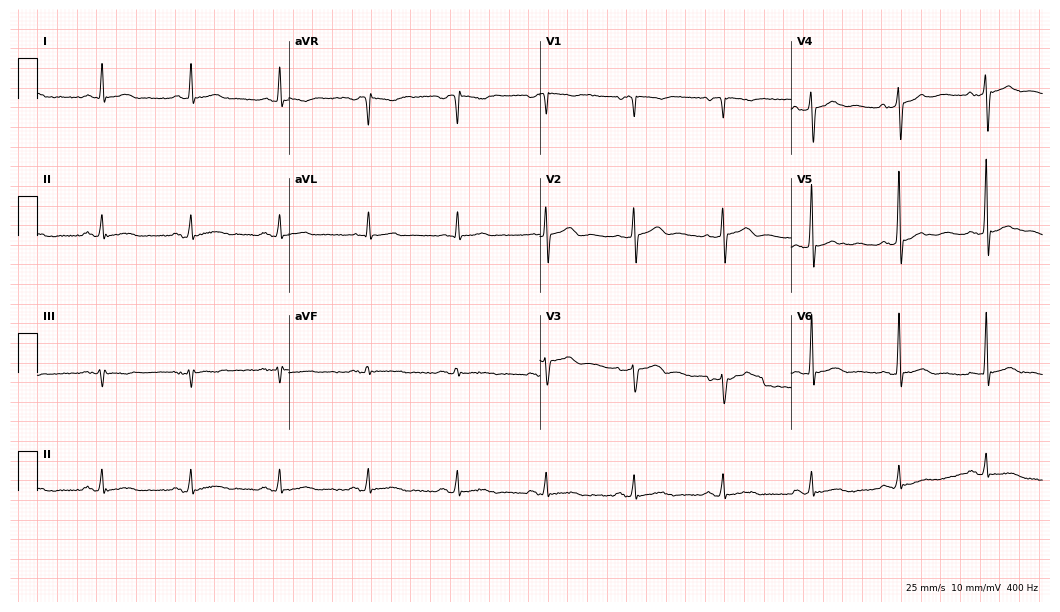
12-lead ECG from a 59-year-old male. Recorded interpretation: within normal limits.